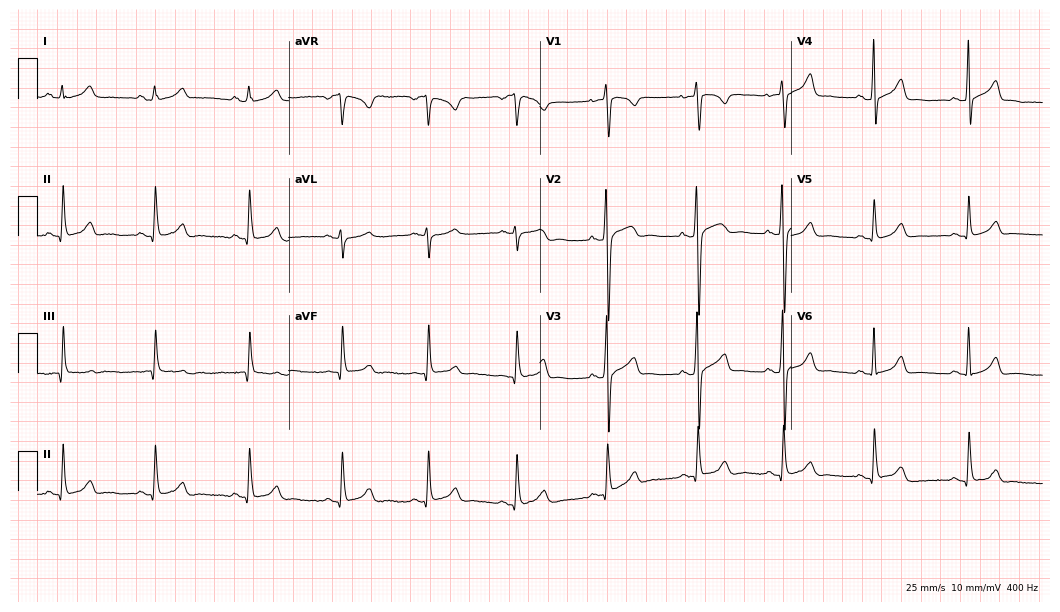
12-lead ECG from a female, 27 years old. Labelled as a normal ECG.